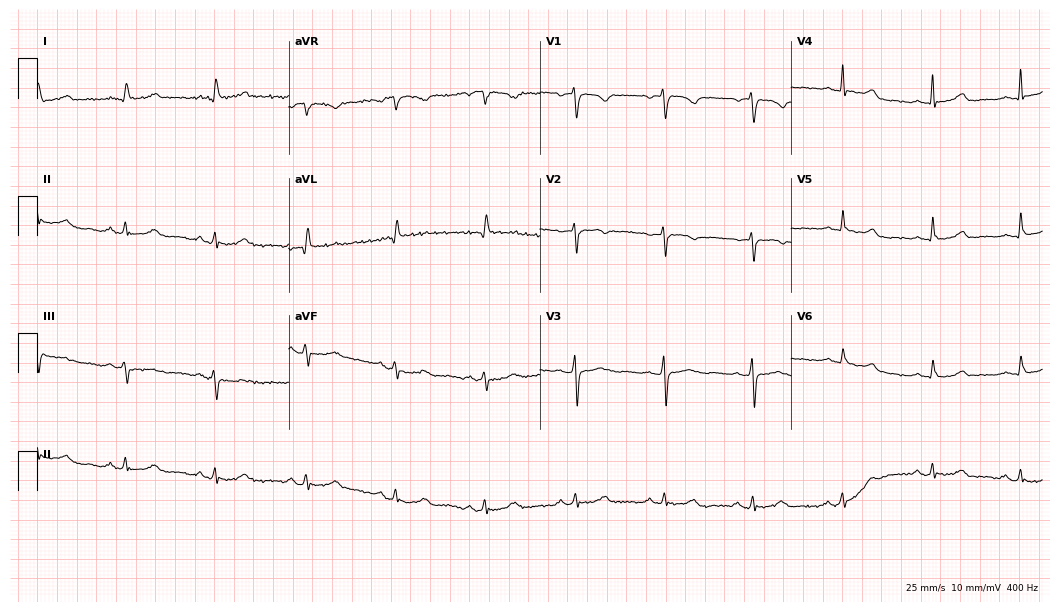
Resting 12-lead electrocardiogram. Patient: a female, 60 years old. None of these six findings is recorded: first-degree AV block, right bundle branch block, left bundle branch block, sinus bradycardia, atrial fibrillation, sinus tachycardia. Other findings, if any, are not listed.